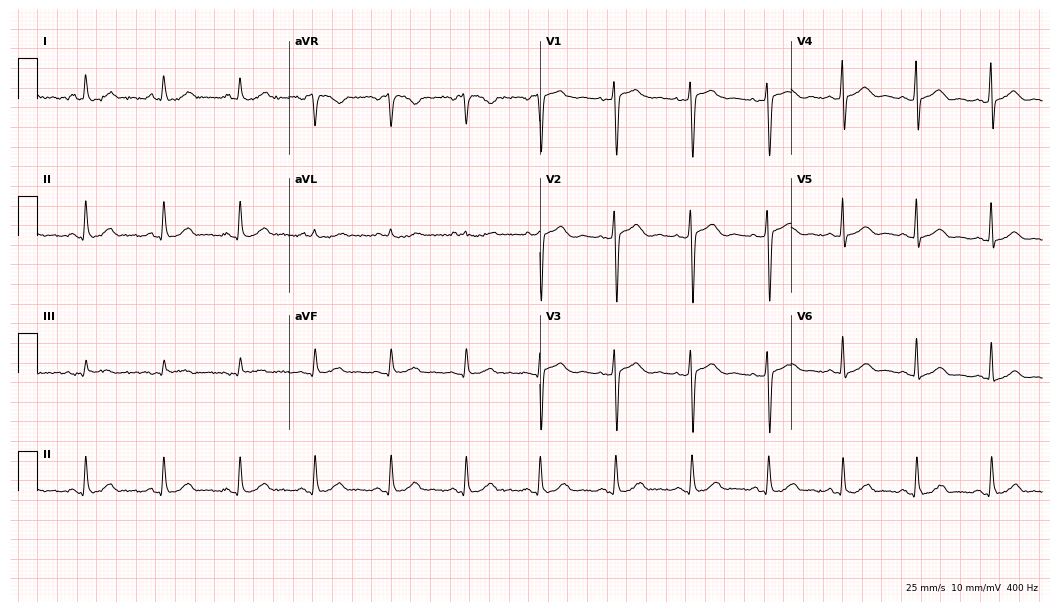
ECG — a female patient, 58 years old. Screened for six findings — first-degree AV block, right bundle branch block, left bundle branch block, sinus bradycardia, atrial fibrillation, sinus tachycardia — none is recorded. Other findings, if any, are not listed.